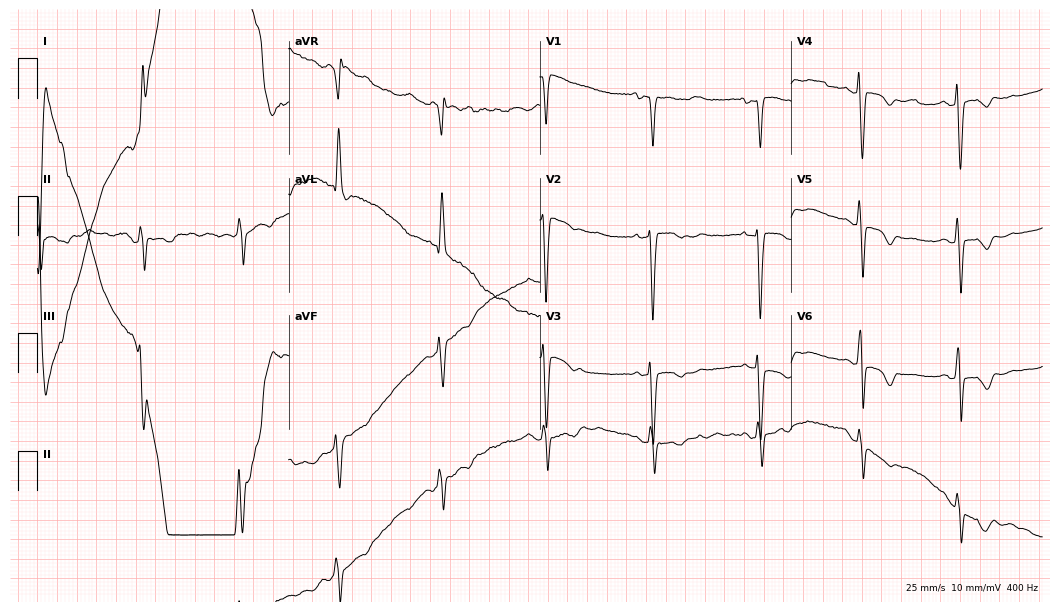
12-lead ECG from an 83-year-old female patient. Screened for six findings — first-degree AV block, right bundle branch block (RBBB), left bundle branch block (LBBB), sinus bradycardia, atrial fibrillation (AF), sinus tachycardia — none is recorded.